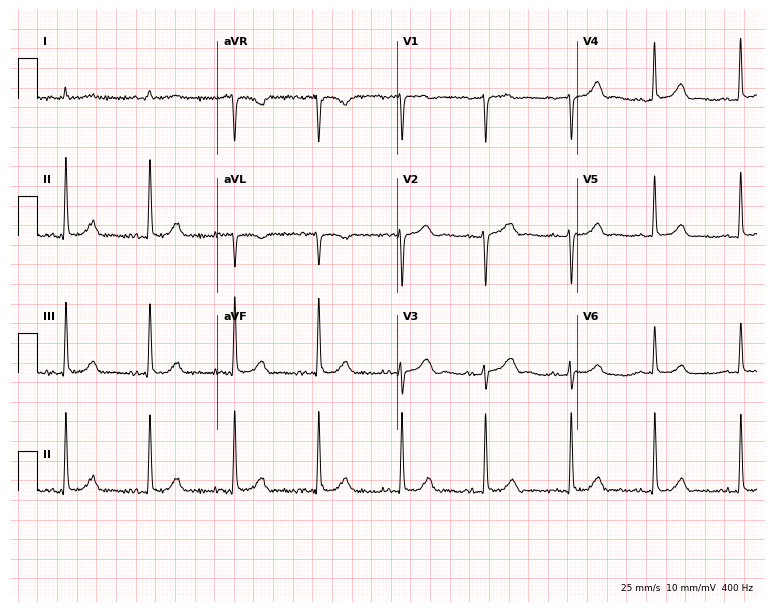
Electrocardiogram (7.3-second recording at 400 Hz), a female, 80 years old. Overall reading on record: normal ECG.